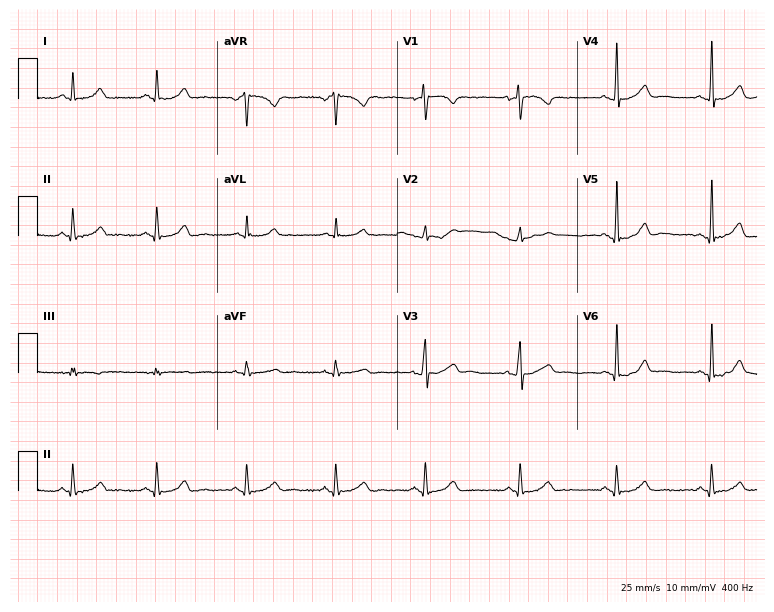
12-lead ECG from a 44-year-old female. Screened for six findings — first-degree AV block, right bundle branch block, left bundle branch block, sinus bradycardia, atrial fibrillation, sinus tachycardia — none is recorded. Findings outside these six are not listed.